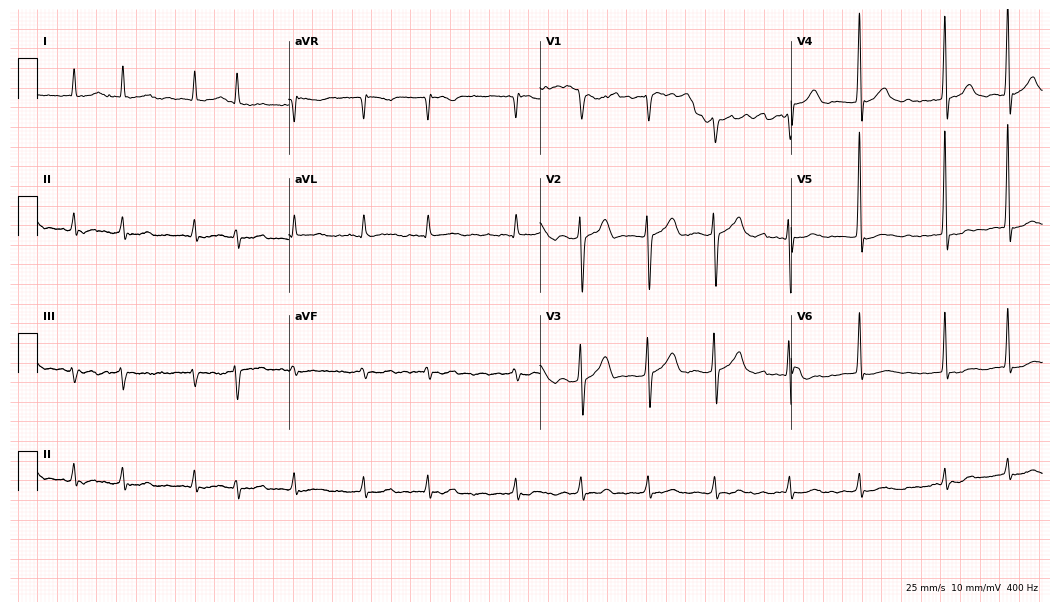
Resting 12-lead electrocardiogram (10.2-second recording at 400 Hz). Patient: a man, 76 years old. The tracing shows atrial fibrillation.